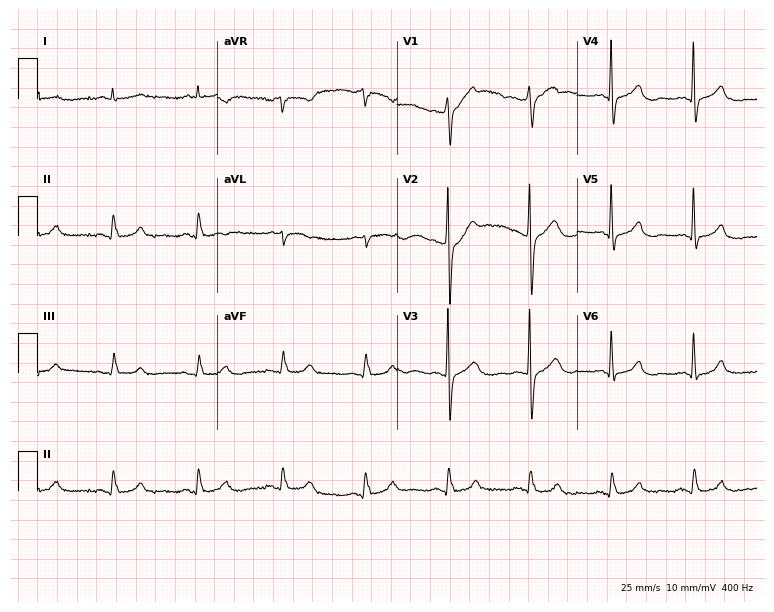
Resting 12-lead electrocardiogram. Patient: a male, 67 years old. Read as a normal ECG.